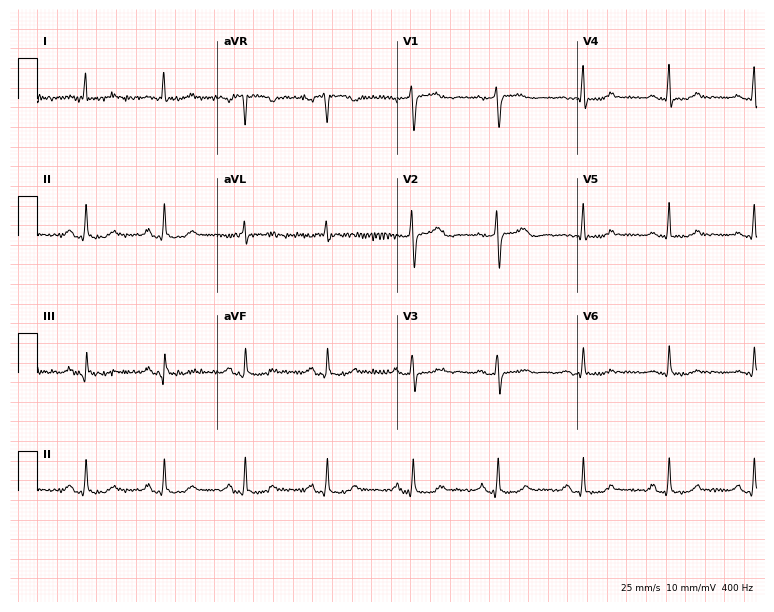
12-lead ECG from a female, 54 years old. No first-degree AV block, right bundle branch block, left bundle branch block, sinus bradycardia, atrial fibrillation or sinus tachycardia recorded for this tracing.